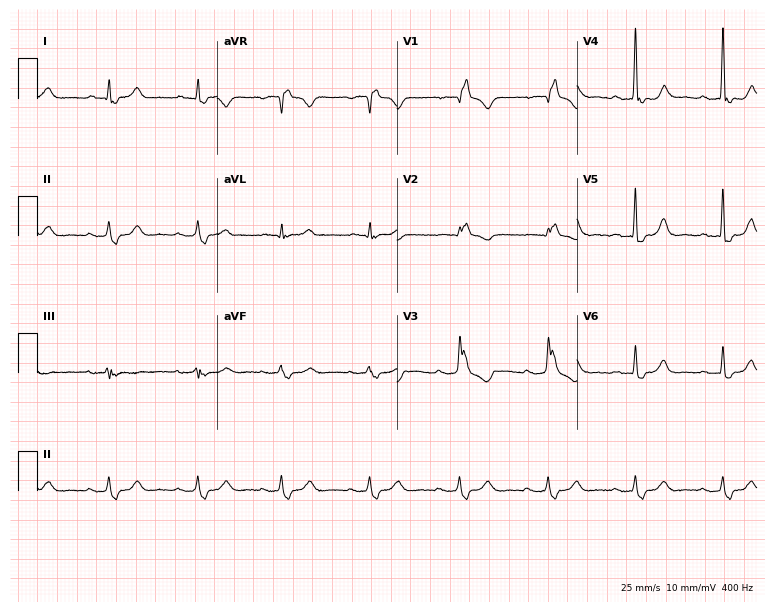
Electrocardiogram, a 65-year-old female patient. Interpretation includes right bundle branch block.